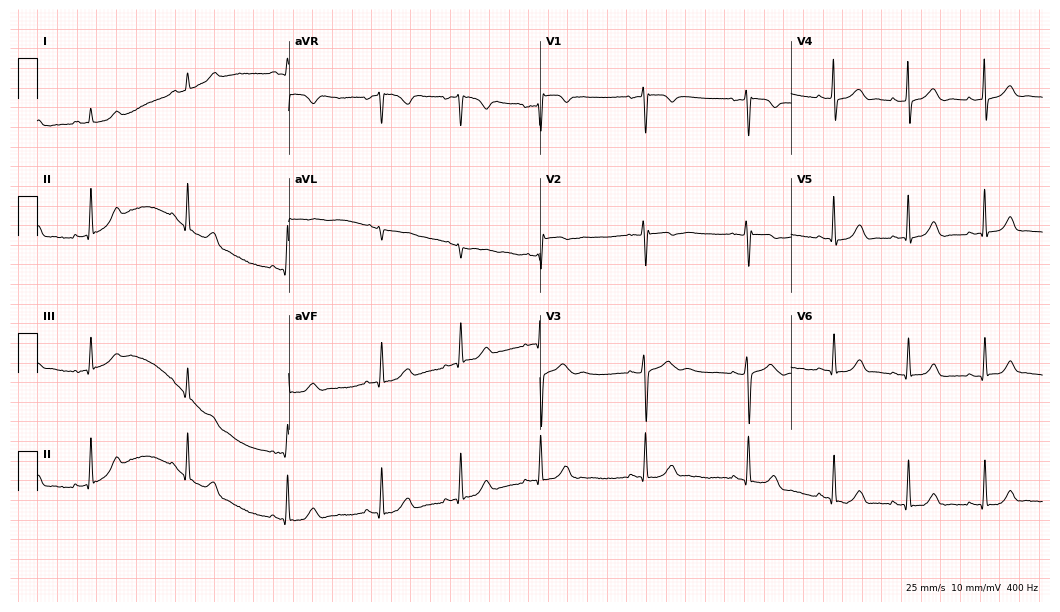
Resting 12-lead electrocardiogram (10.2-second recording at 400 Hz). Patient: a female, 19 years old. Read as a normal ECG.